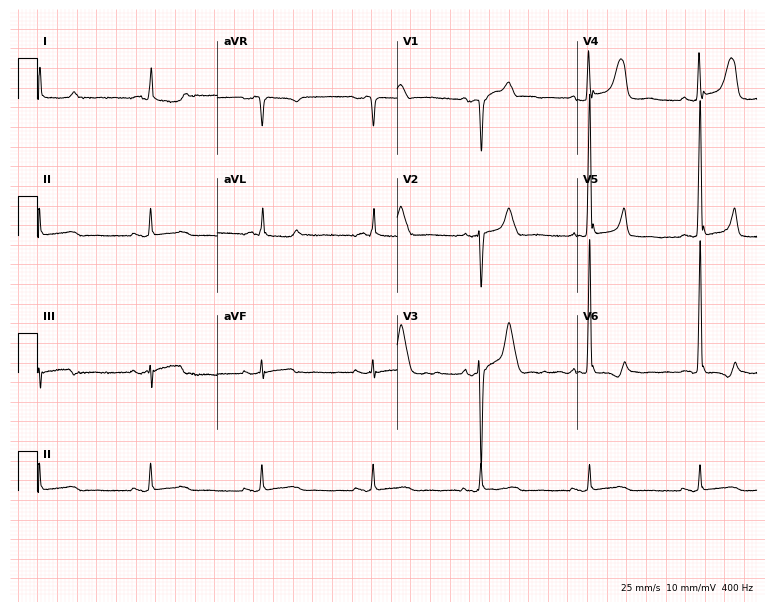
12-lead ECG from a 57-year-old male patient (7.3-second recording at 400 Hz). No first-degree AV block, right bundle branch block (RBBB), left bundle branch block (LBBB), sinus bradycardia, atrial fibrillation (AF) or sinus tachycardia recorded for this tracing. Only these six findings were labelled.